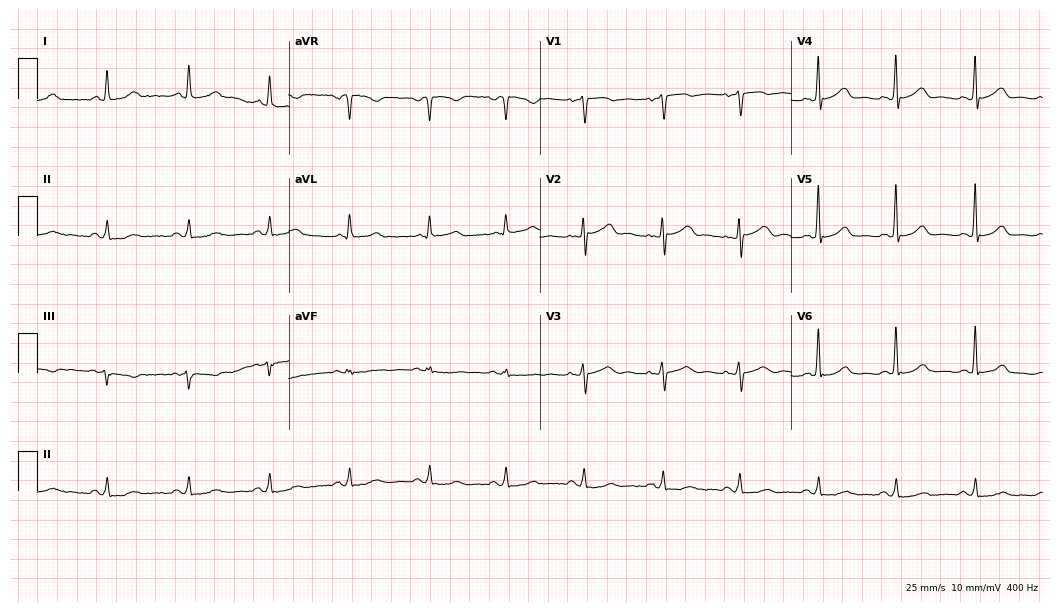
Electrocardiogram (10.2-second recording at 400 Hz), a female, 64 years old. Overall reading on record: normal ECG.